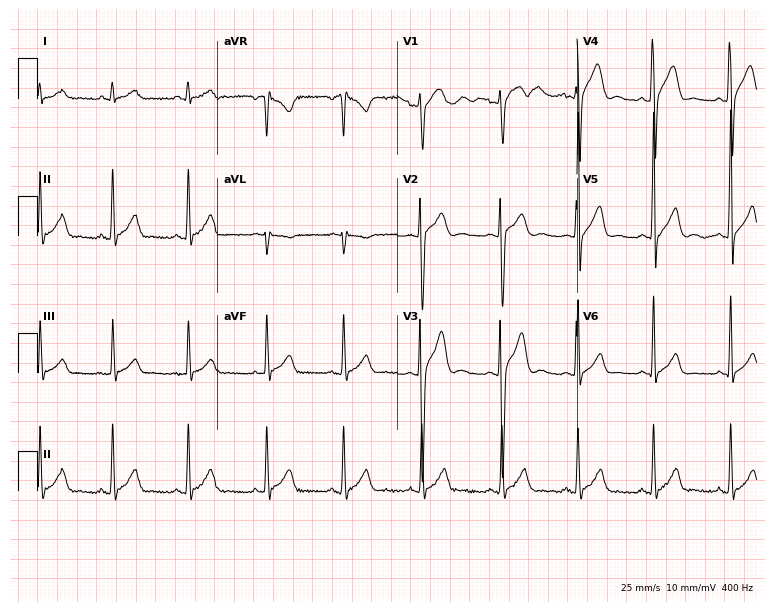
12-lead ECG from a 28-year-old male patient. No first-degree AV block, right bundle branch block (RBBB), left bundle branch block (LBBB), sinus bradycardia, atrial fibrillation (AF) or sinus tachycardia recorded for this tracing.